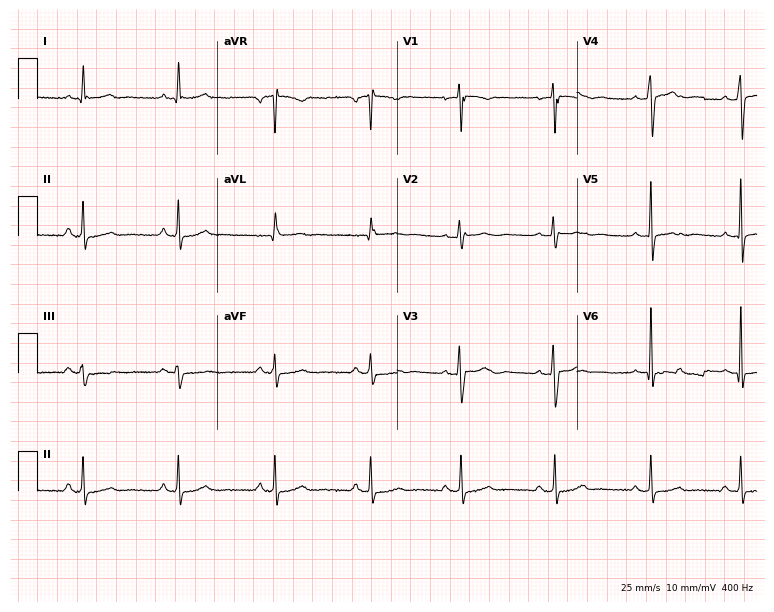
Electrocardiogram, a 27-year-old female patient. Of the six screened findings (first-degree AV block, right bundle branch block, left bundle branch block, sinus bradycardia, atrial fibrillation, sinus tachycardia), none is recorded. Other findings, if any, are not listed.